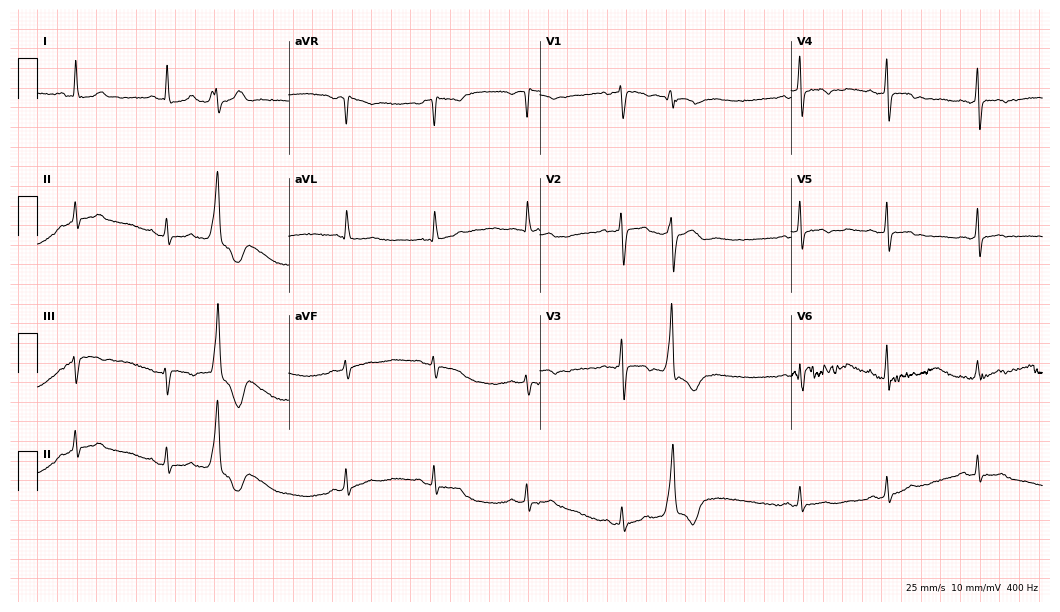
ECG — a woman, 25 years old. Screened for six findings — first-degree AV block, right bundle branch block (RBBB), left bundle branch block (LBBB), sinus bradycardia, atrial fibrillation (AF), sinus tachycardia — none is recorded. Other findings, if any, are not listed.